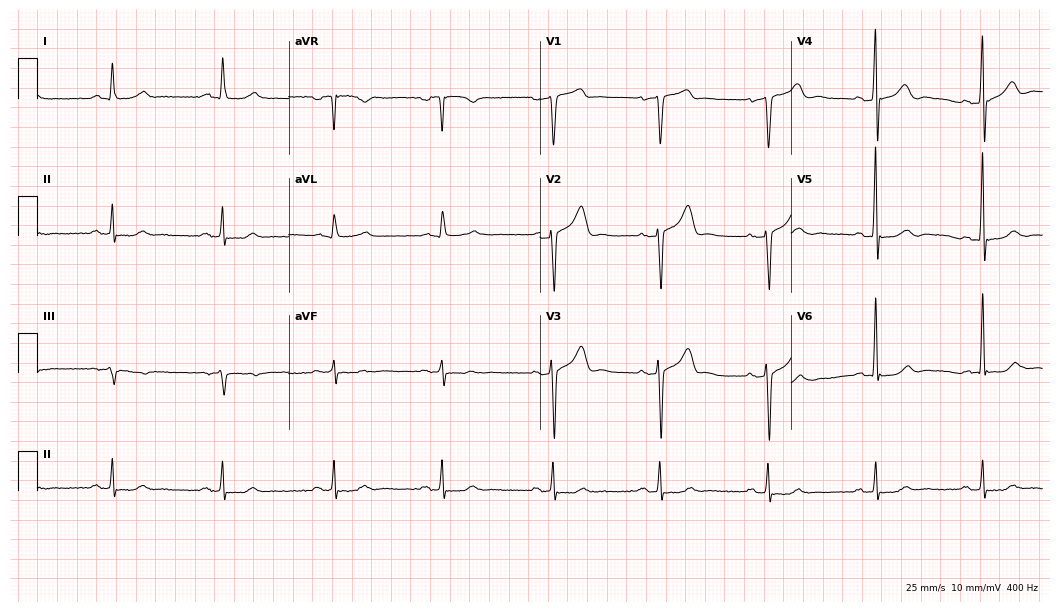
12-lead ECG (10.2-second recording at 400 Hz) from a 55-year-old man. Labelled as a normal ECG.